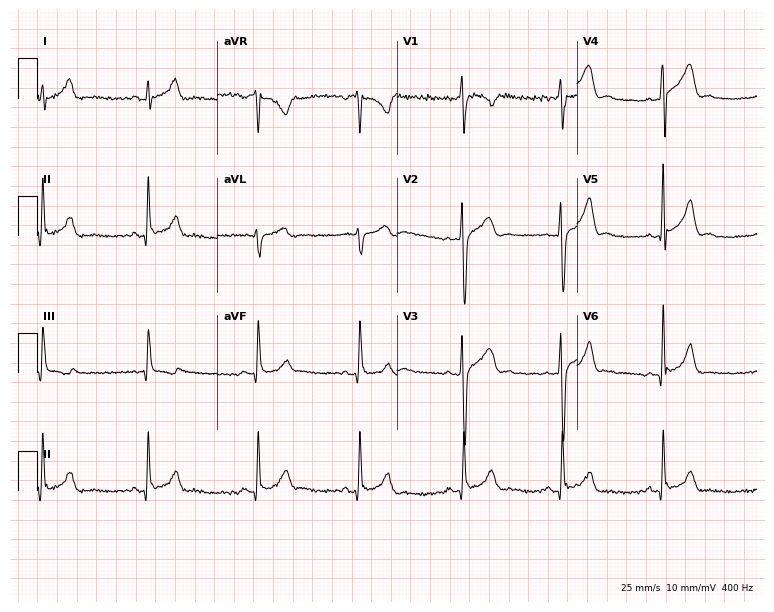
12-lead ECG from a 32-year-old man. No first-degree AV block, right bundle branch block, left bundle branch block, sinus bradycardia, atrial fibrillation or sinus tachycardia recorded for this tracing. Only these six findings were labelled.